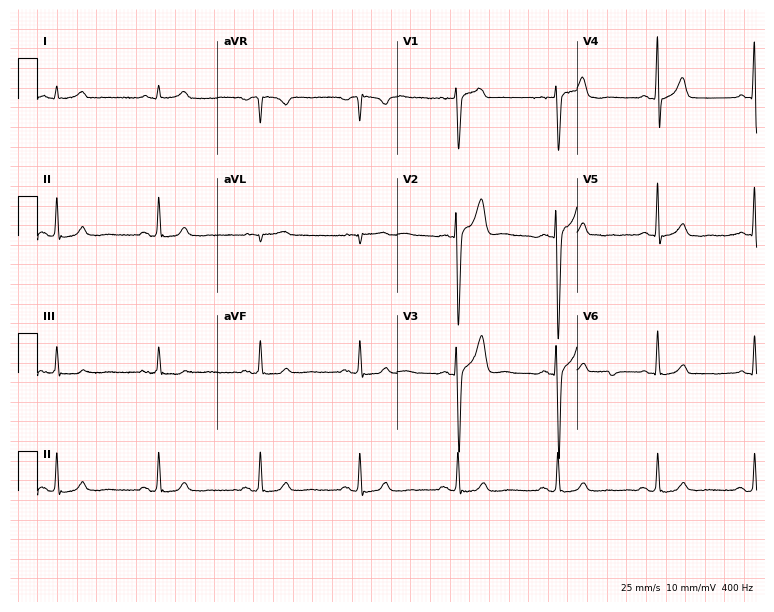
Electrocardiogram, a man, 37 years old. Overall reading on record: normal ECG.